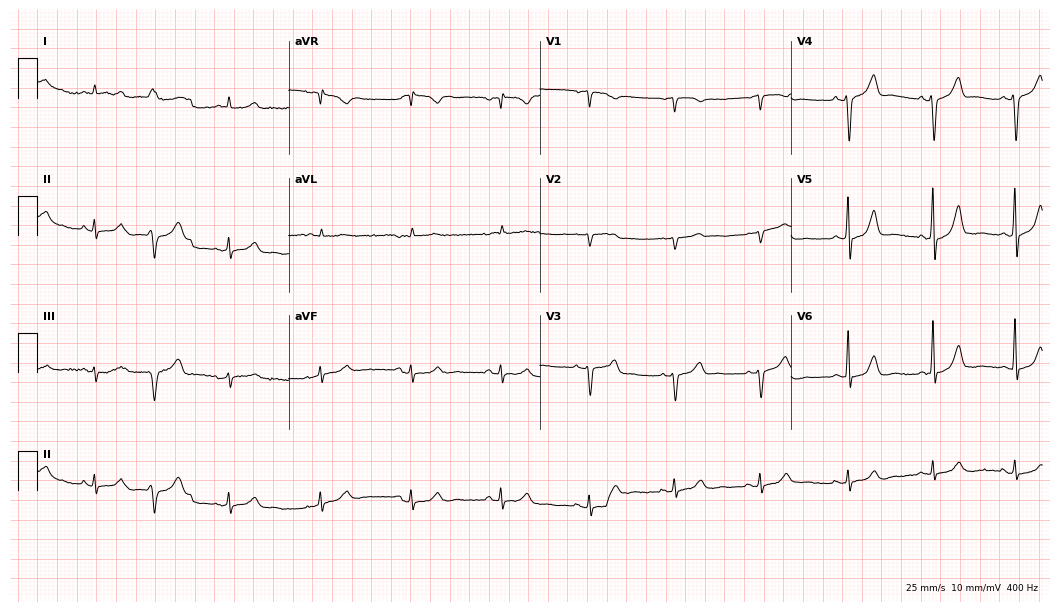
ECG — a male patient, 70 years old. Screened for six findings — first-degree AV block, right bundle branch block, left bundle branch block, sinus bradycardia, atrial fibrillation, sinus tachycardia — none is recorded.